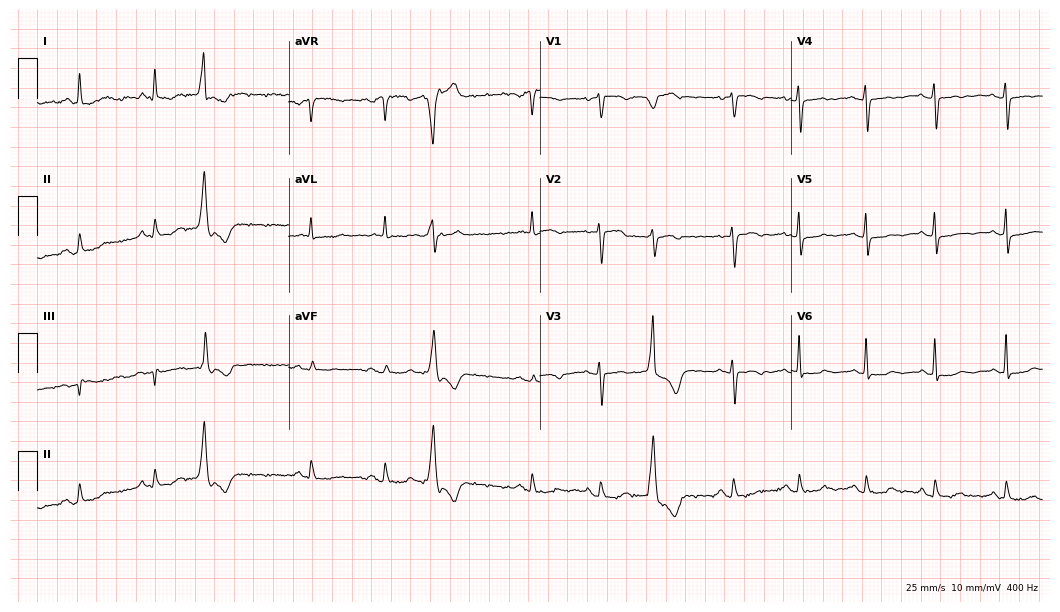
Electrocardiogram (10.2-second recording at 400 Hz), a 78-year-old woman. Of the six screened findings (first-degree AV block, right bundle branch block (RBBB), left bundle branch block (LBBB), sinus bradycardia, atrial fibrillation (AF), sinus tachycardia), none is recorded.